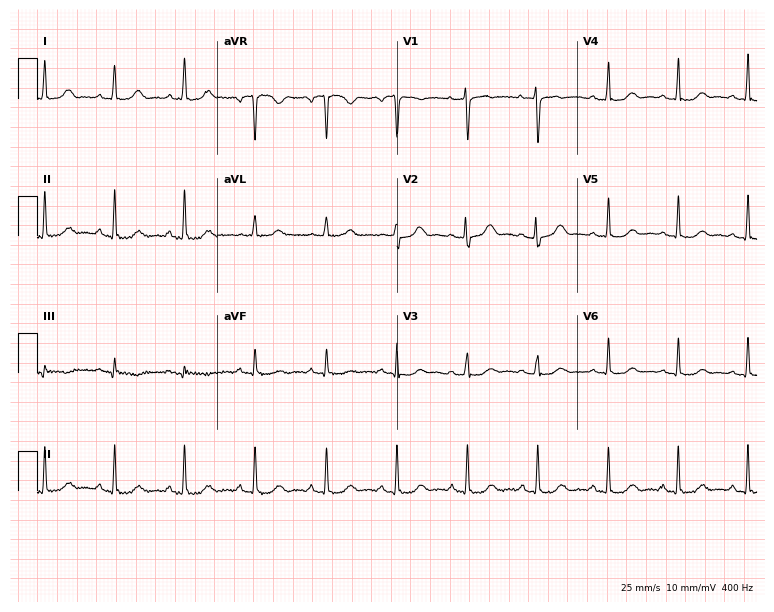
ECG — a 56-year-old female patient. Labelled as a normal ECG.